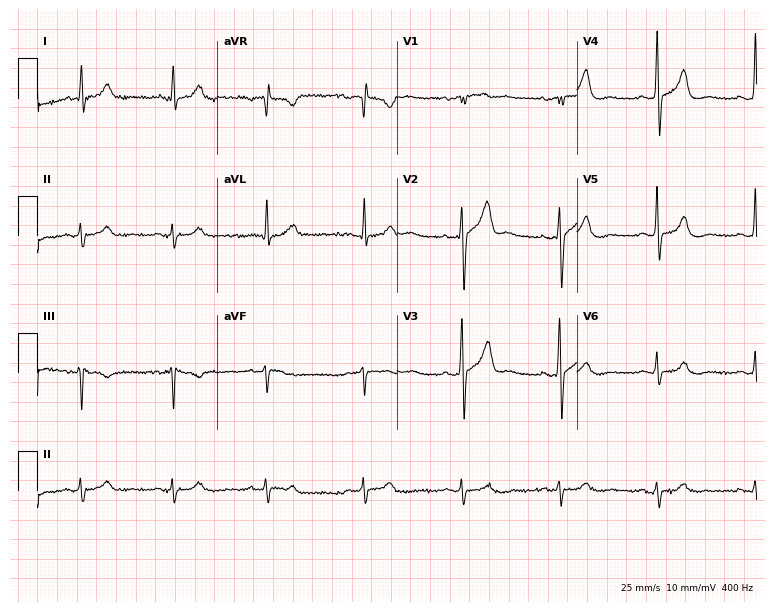
ECG — a male patient, 53 years old. Screened for six findings — first-degree AV block, right bundle branch block, left bundle branch block, sinus bradycardia, atrial fibrillation, sinus tachycardia — none is recorded. Findings outside these six are not listed.